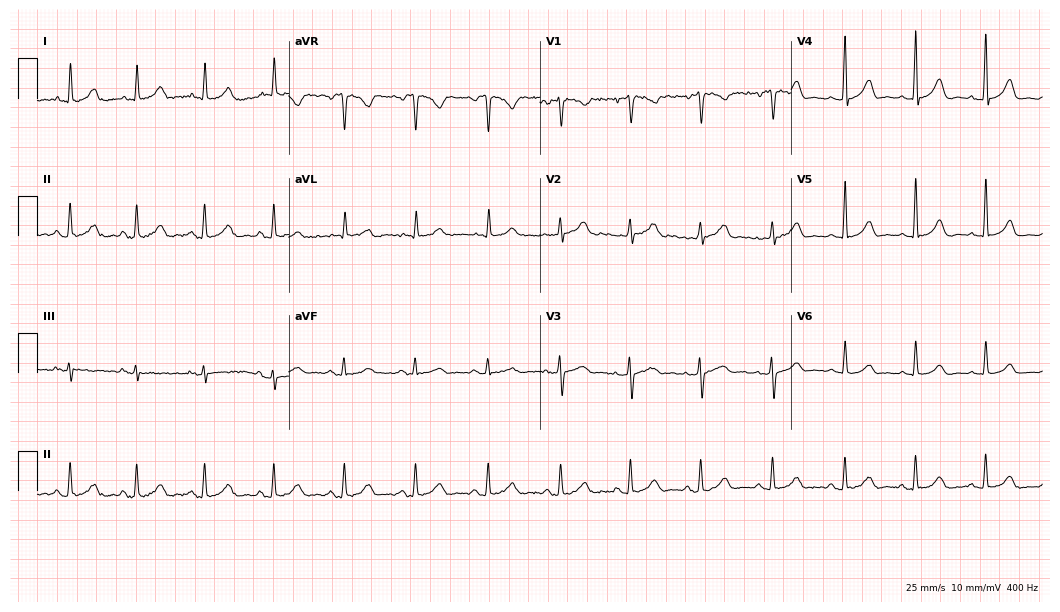
Electrocardiogram (10.2-second recording at 400 Hz), a 49-year-old female patient. Overall reading on record: normal ECG.